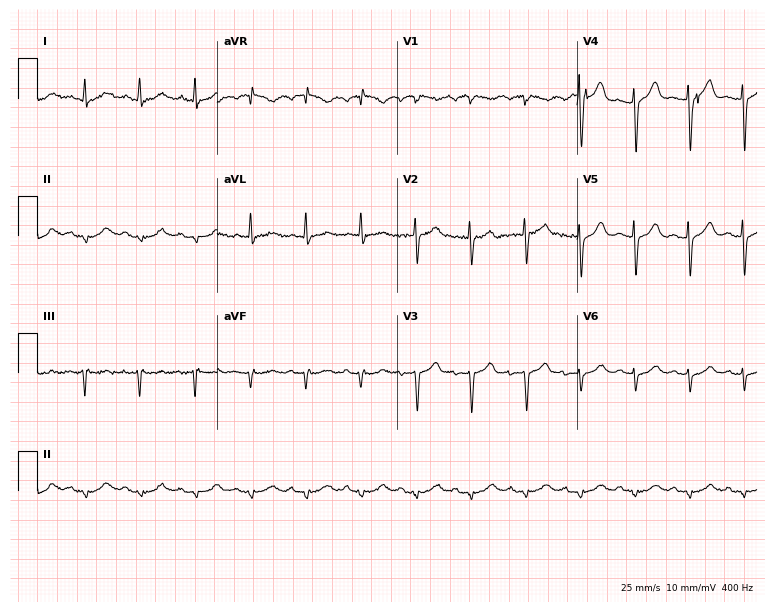
12-lead ECG from an 81-year-old man. Findings include sinus tachycardia (a sinus rate of 100 beats per minute or more).